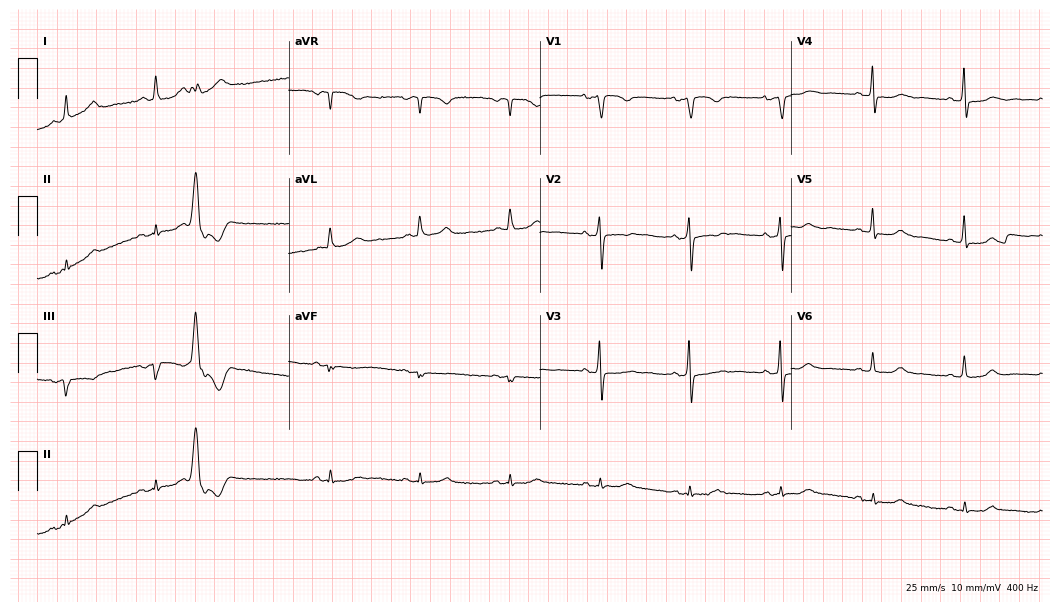
12-lead ECG from a 75-year-old female patient. No first-degree AV block, right bundle branch block (RBBB), left bundle branch block (LBBB), sinus bradycardia, atrial fibrillation (AF) or sinus tachycardia recorded for this tracing. Findings outside these six are not listed.